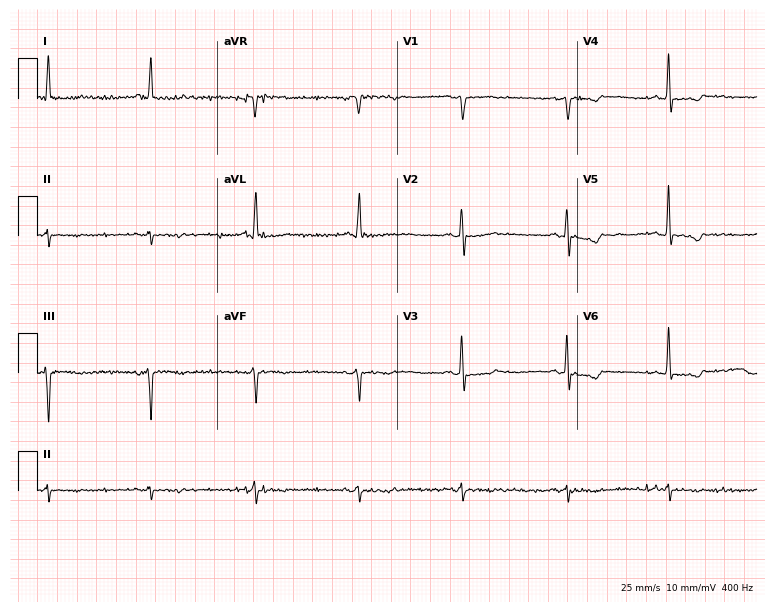
Standard 12-lead ECG recorded from a male patient, 73 years old (7.3-second recording at 400 Hz). None of these six findings is recorded: first-degree AV block, right bundle branch block (RBBB), left bundle branch block (LBBB), sinus bradycardia, atrial fibrillation (AF), sinus tachycardia. Other findings, if any, are not listed.